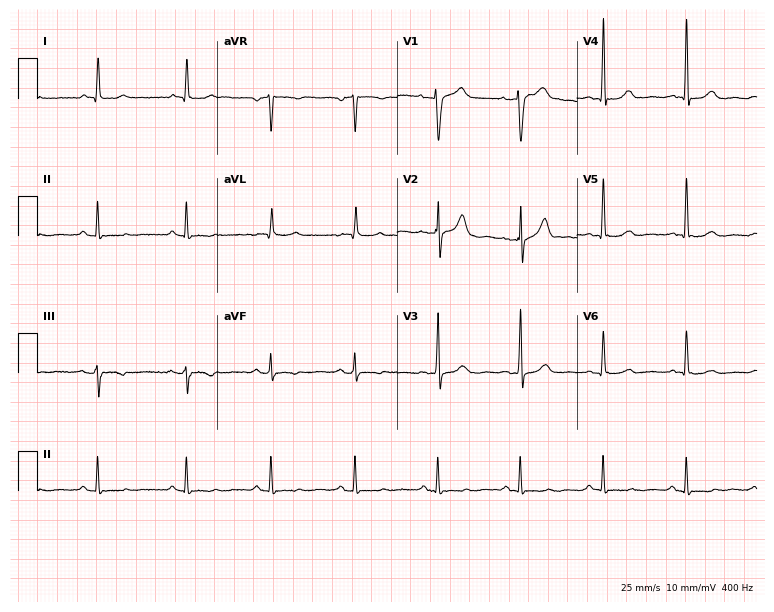
Resting 12-lead electrocardiogram. Patient: a male, 62 years old. Read as a normal ECG.